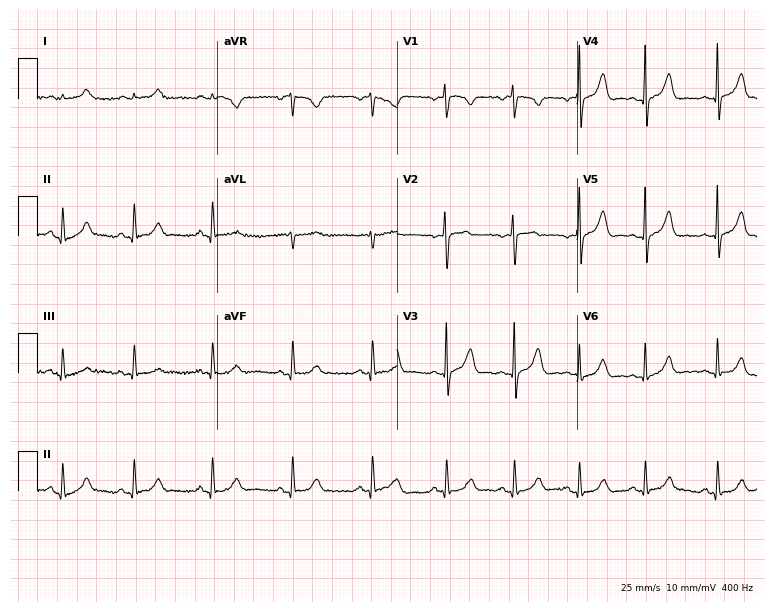
12-lead ECG (7.3-second recording at 400 Hz) from a female, 29 years old. Screened for six findings — first-degree AV block, right bundle branch block, left bundle branch block, sinus bradycardia, atrial fibrillation, sinus tachycardia — none is recorded.